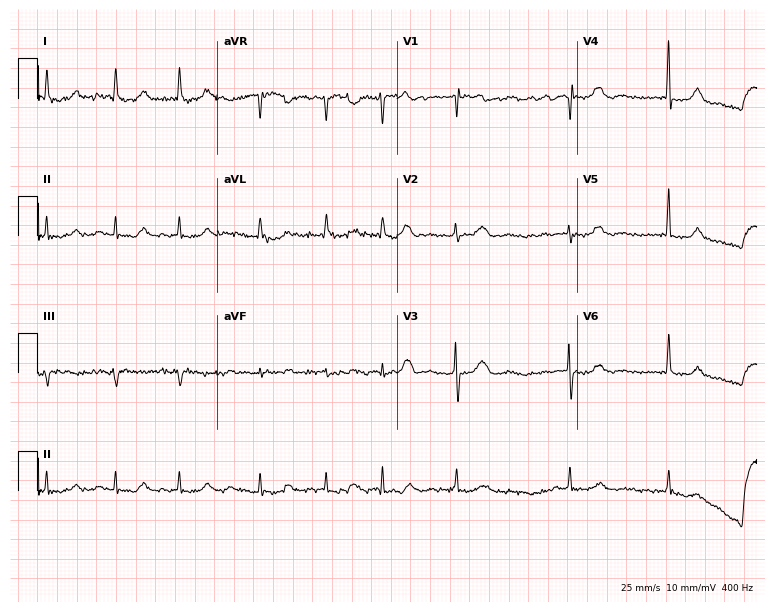
ECG — a 77-year-old female patient. Findings include atrial fibrillation.